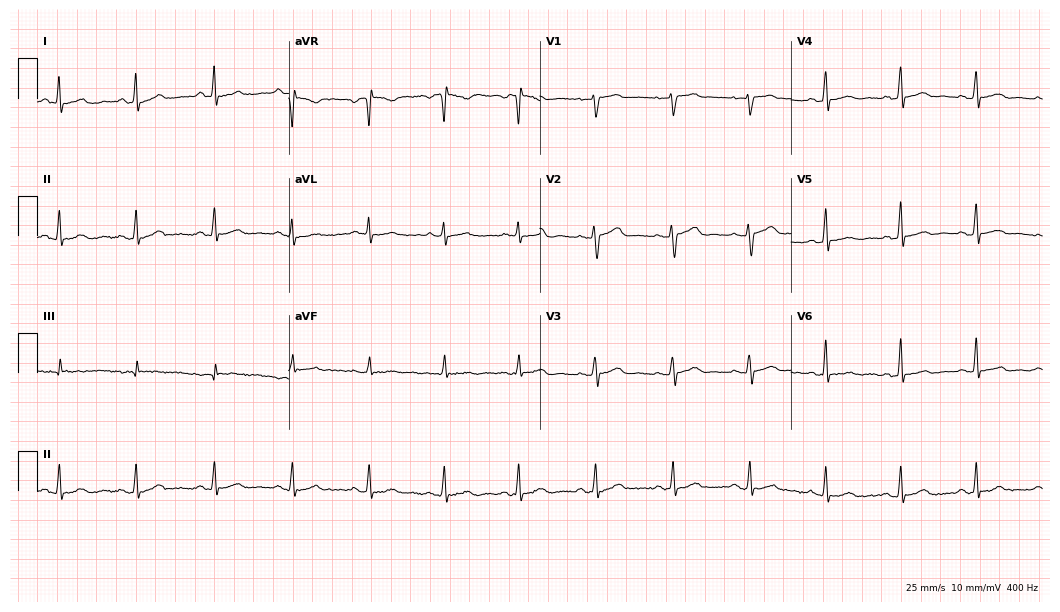
Resting 12-lead electrocardiogram. Patient: a 41-year-old female. Read as a normal ECG.